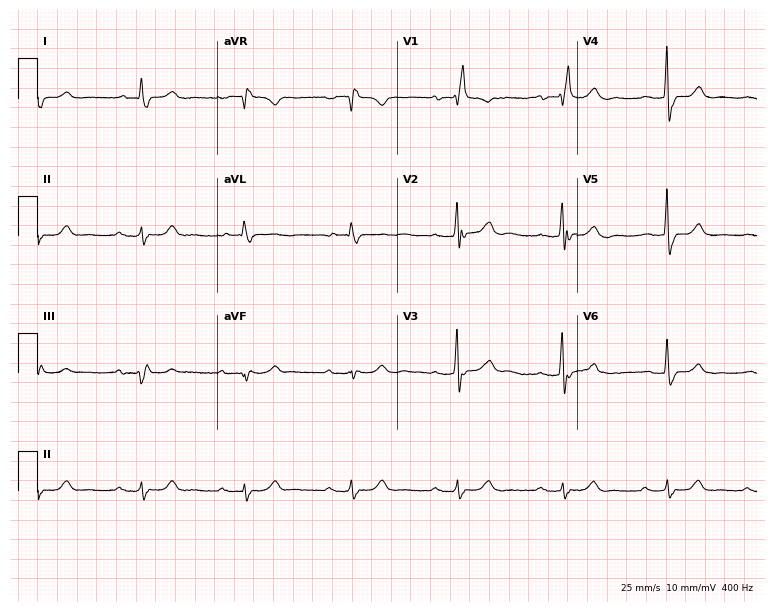
Electrocardiogram (7.3-second recording at 400 Hz), a man, 78 years old. Interpretation includes first-degree AV block, right bundle branch block.